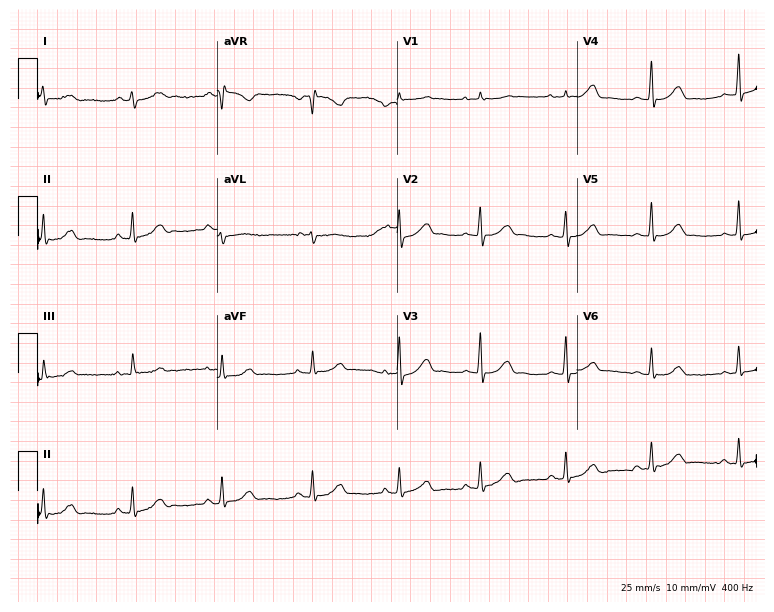
Standard 12-lead ECG recorded from a woman, 27 years old. None of these six findings is recorded: first-degree AV block, right bundle branch block (RBBB), left bundle branch block (LBBB), sinus bradycardia, atrial fibrillation (AF), sinus tachycardia. Only these six findings were labelled.